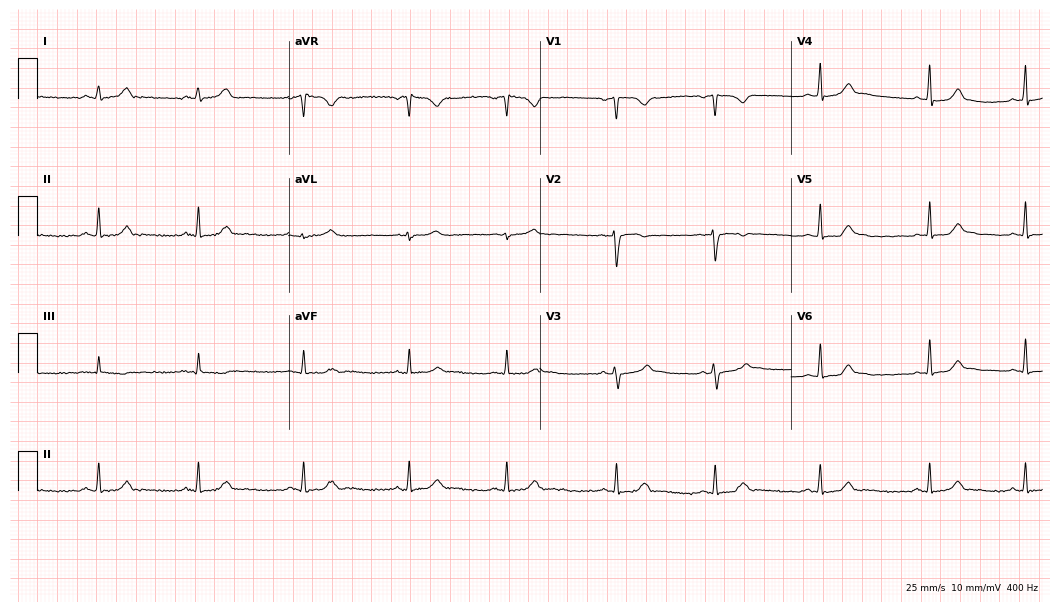
Electrocardiogram, a female, 20 years old. Overall reading on record: normal ECG.